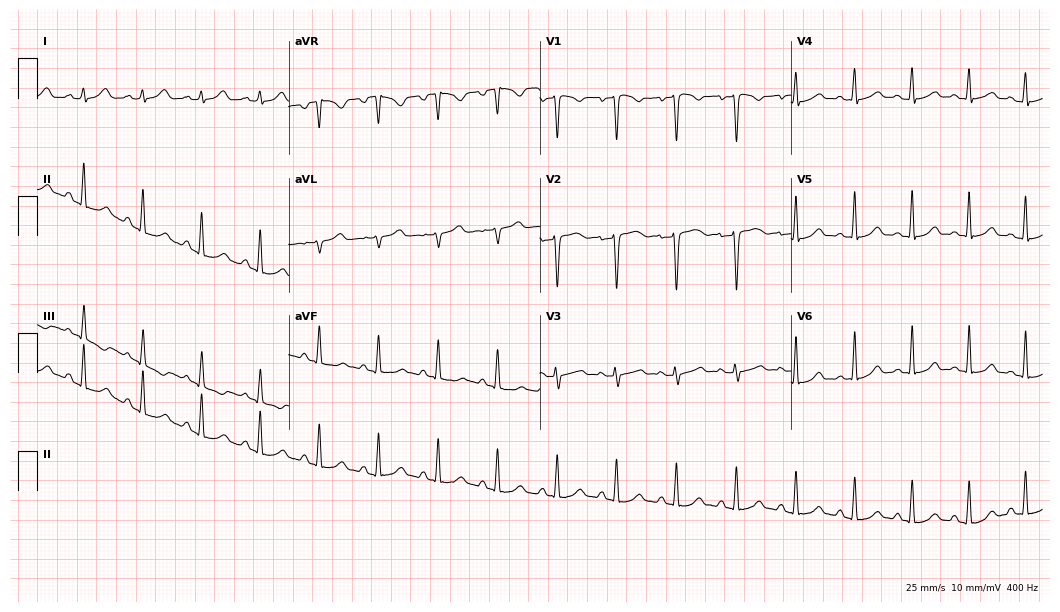
ECG — a female patient, 36 years old. Screened for six findings — first-degree AV block, right bundle branch block, left bundle branch block, sinus bradycardia, atrial fibrillation, sinus tachycardia — none is recorded. Findings outside these six are not listed.